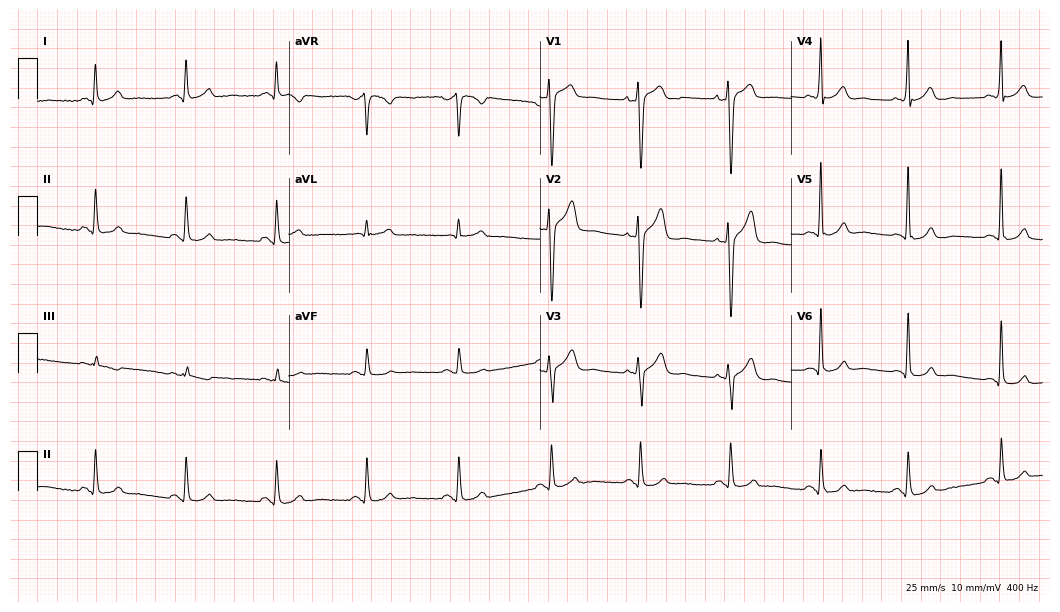
12-lead ECG from a 34-year-old male (10.2-second recording at 400 Hz). Recorded interpretation: within normal limits.